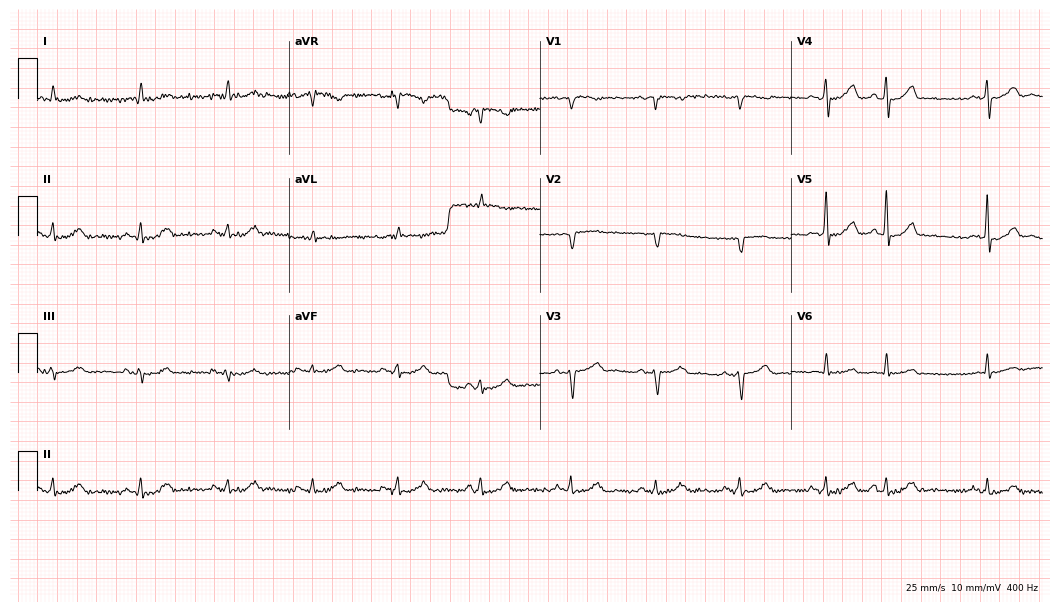
Electrocardiogram, a 75-year-old woman. Of the six screened findings (first-degree AV block, right bundle branch block (RBBB), left bundle branch block (LBBB), sinus bradycardia, atrial fibrillation (AF), sinus tachycardia), none is recorded.